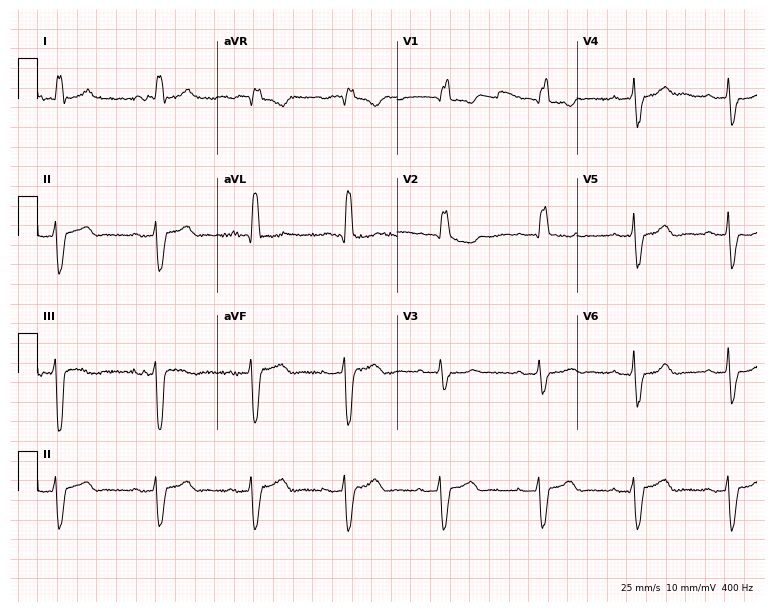
ECG — a female, 76 years old. Findings include right bundle branch block.